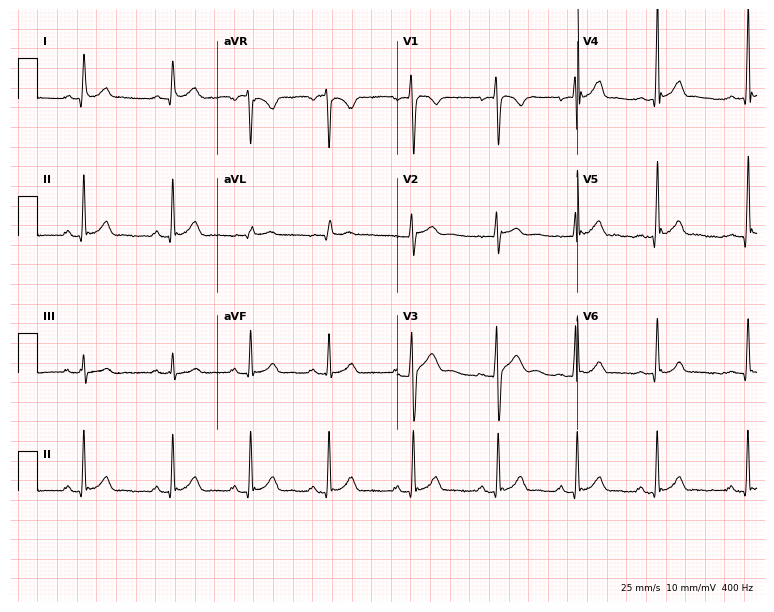
12-lead ECG (7.3-second recording at 400 Hz) from a male, 23 years old. Screened for six findings — first-degree AV block, right bundle branch block, left bundle branch block, sinus bradycardia, atrial fibrillation, sinus tachycardia — none is recorded.